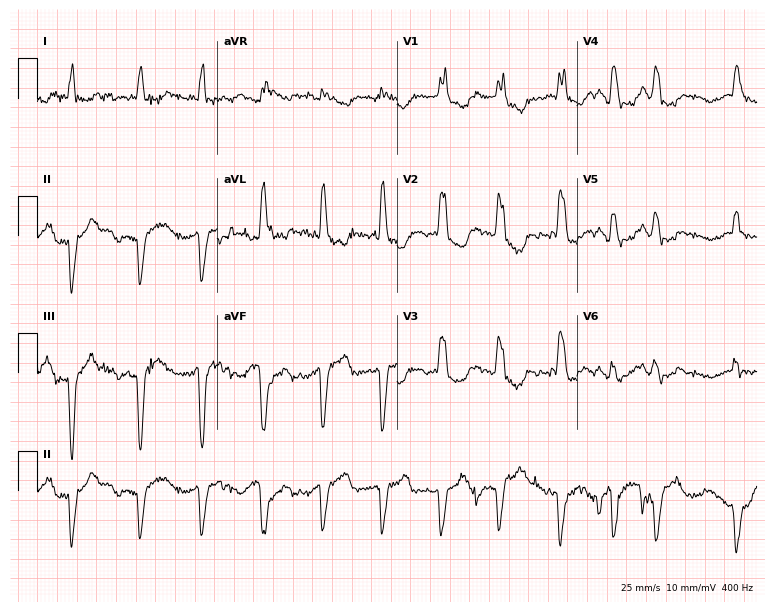
Resting 12-lead electrocardiogram (7.3-second recording at 400 Hz). Patient: a female, 74 years old. The tracing shows right bundle branch block.